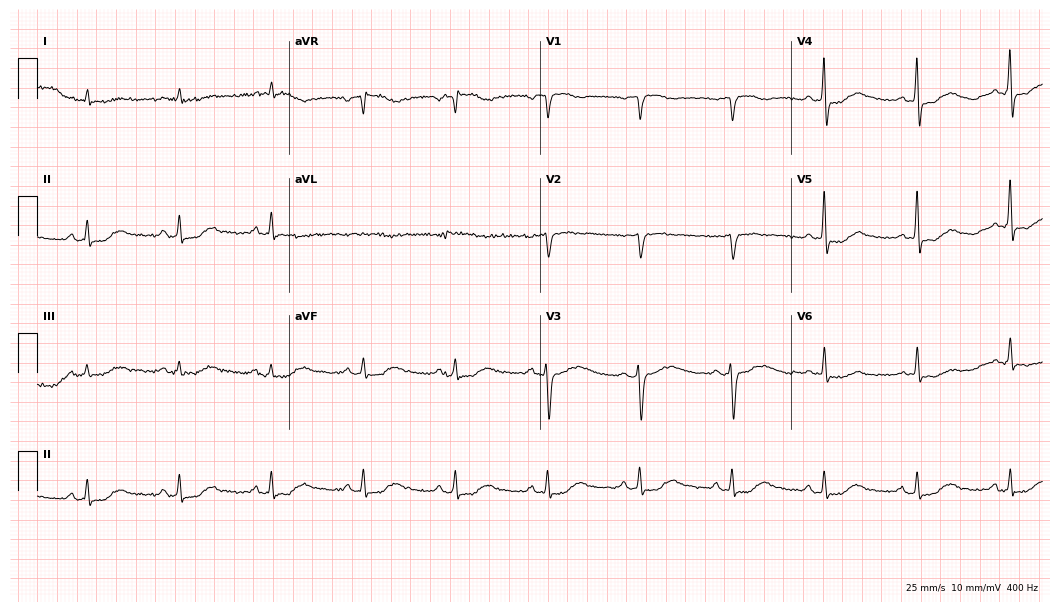
Resting 12-lead electrocardiogram. Patient: an 85-year-old male. Read as a normal ECG.